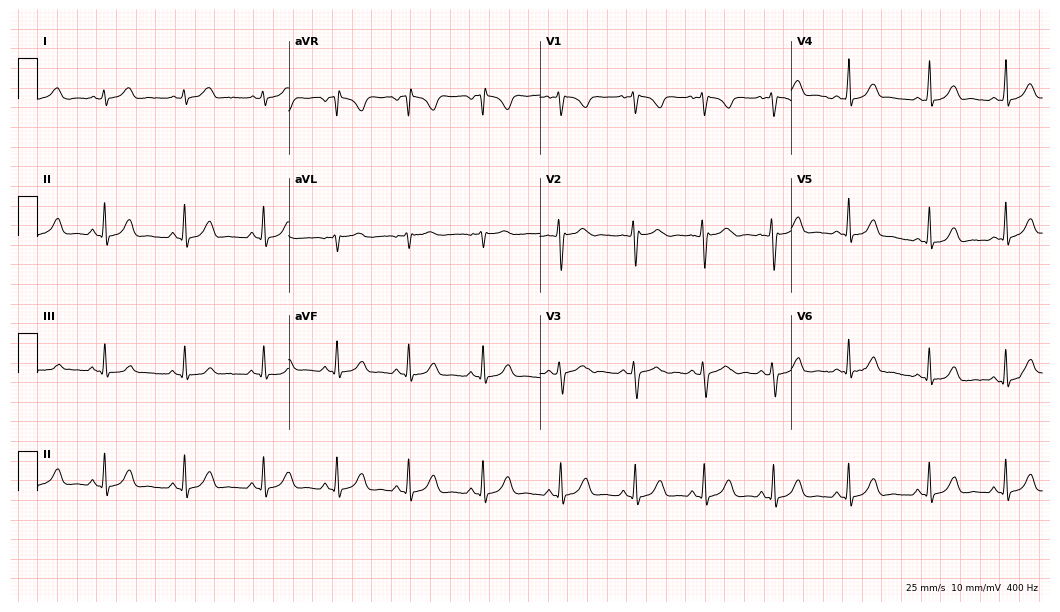
Resting 12-lead electrocardiogram (10.2-second recording at 400 Hz). Patient: an 18-year-old female. Read as a normal ECG.